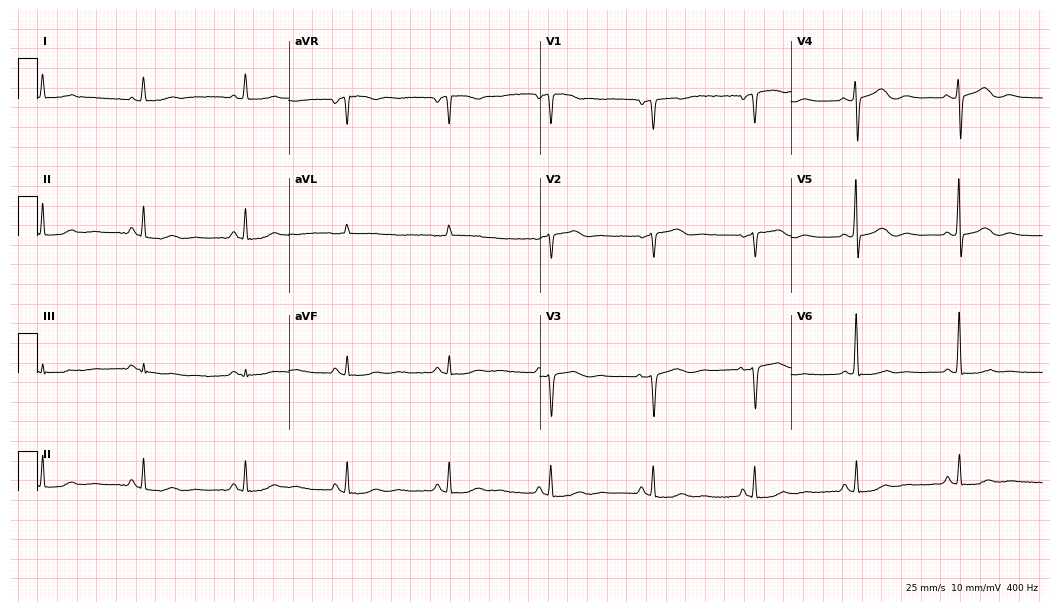
ECG (10.2-second recording at 400 Hz) — a male, 78 years old. Screened for six findings — first-degree AV block, right bundle branch block, left bundle branch block, sinus bradycardia, atrial fibrillation, sinus tachycardia — none is recorded. Other findings, if any, are not listed.